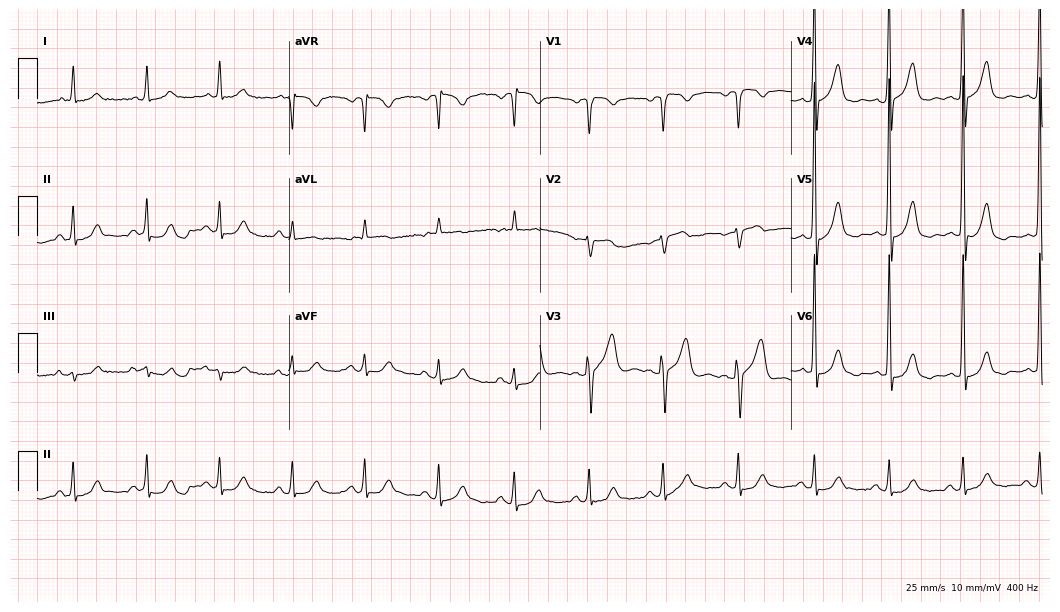
12-lead ECG (10.2-second recording at 400 Hz) from a male, 78 years old. Screened for six findings — first-degree AV block, right bundle branch block, left bundle branch block, sinus bradycardia, atrial fibrillation, sinus tachycardia — none is recorded.